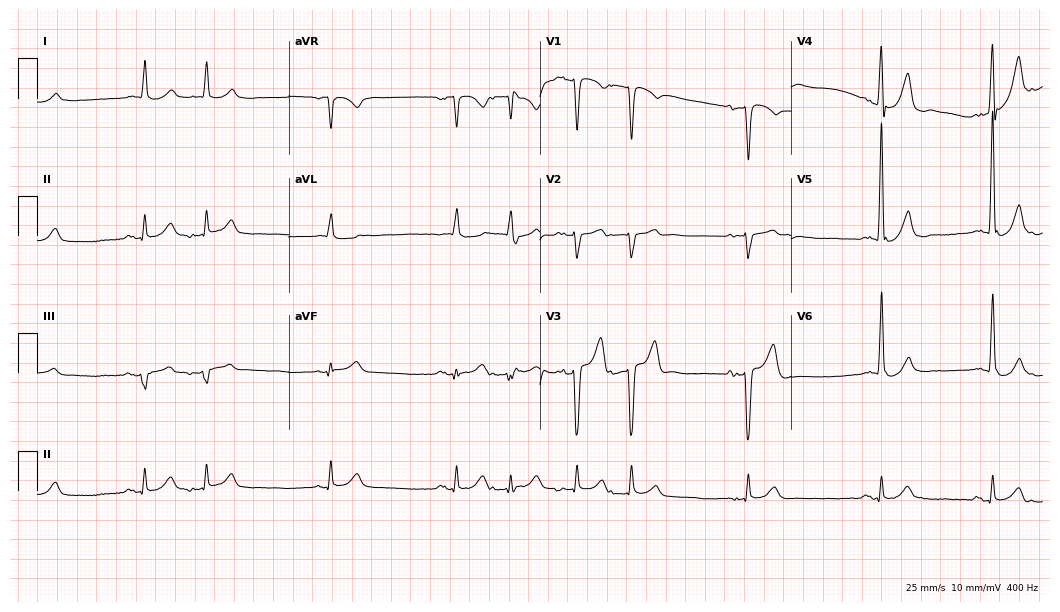
Standard 12-lead ECG recorded from a man, 80 years old. None of these six findings is recorded: first-degree AV block, right bundle branch block (RBBB), left bundle branch block (LBBB), sinus bradycardia, atrial fibrillation (AF), sinus tachycardia. Only these six findings were labelled.